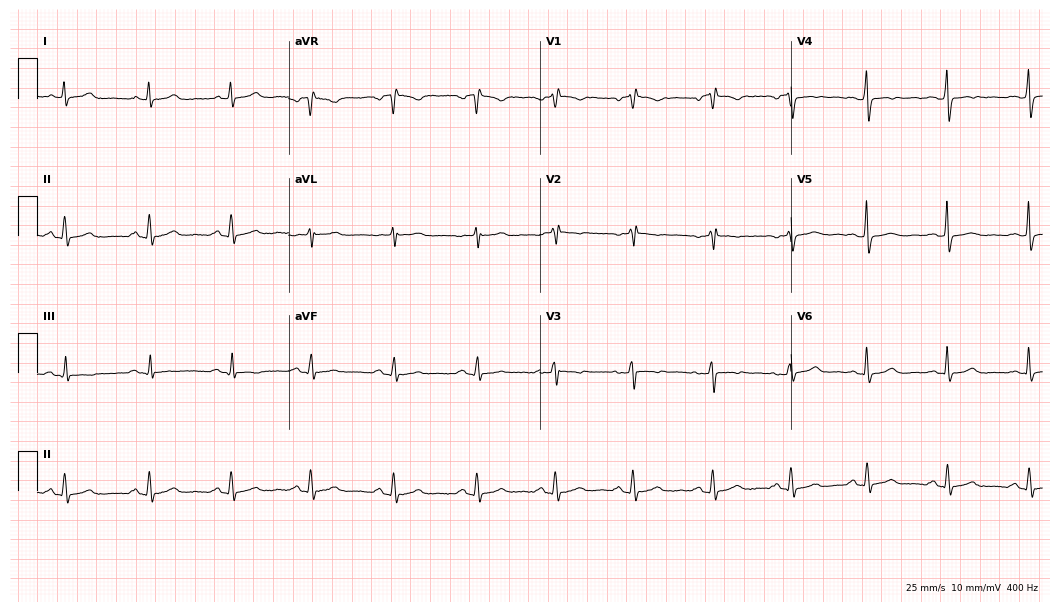
Standard 12-lead ECG recorded from a female, 46 years old. None of these six findings is recorded: first-degree AV block, right bundle branch block, left bundle branch block, sinus bradycardia, atrial fibrillation, sinus tachycardia.